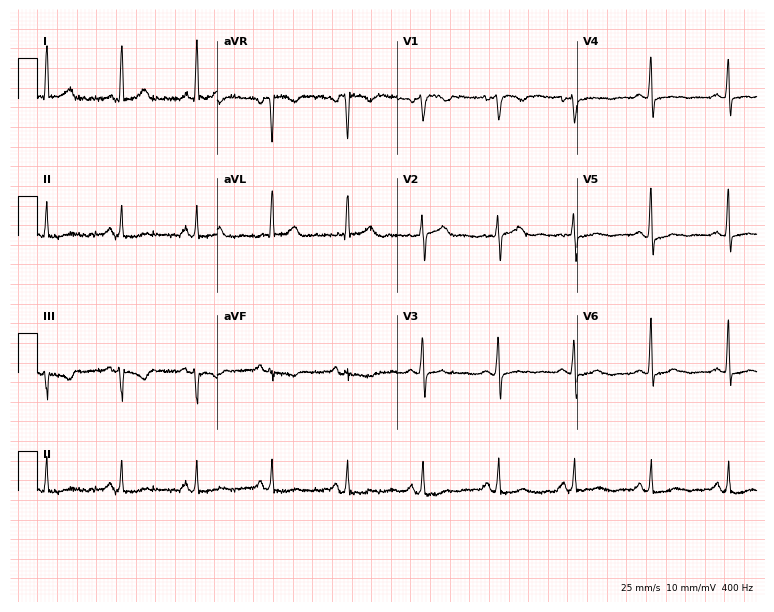
Standard 12-lead ECG recorded from a woman, 65 years old (7.3-second recording at 400 Hz). None of these six findings is recorded: first-degree AV block, right bundle branch block, left bundle branch block, sinus bradycardia, atrial fibrillation, sinus tachycardia.